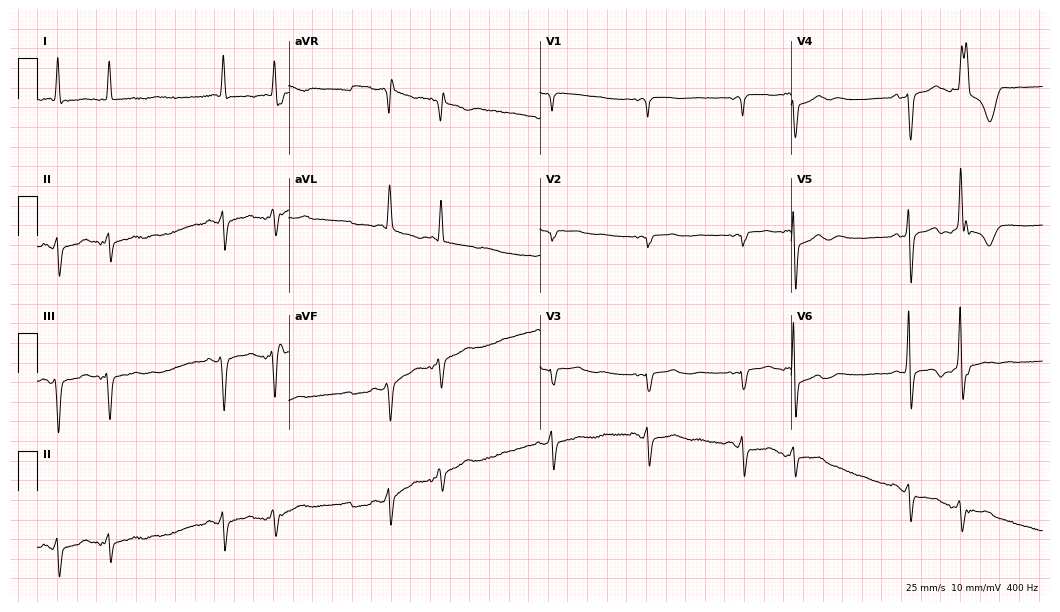
ECG (10.2-second recording at 400 Hz) — a 65-year-old female patient. Screened for six findings — first-degree AV block, right bundle branch block, left bundle branch block, sinus bradycardia, atrial fibrillation, sinus tachycardia — none is recorded.